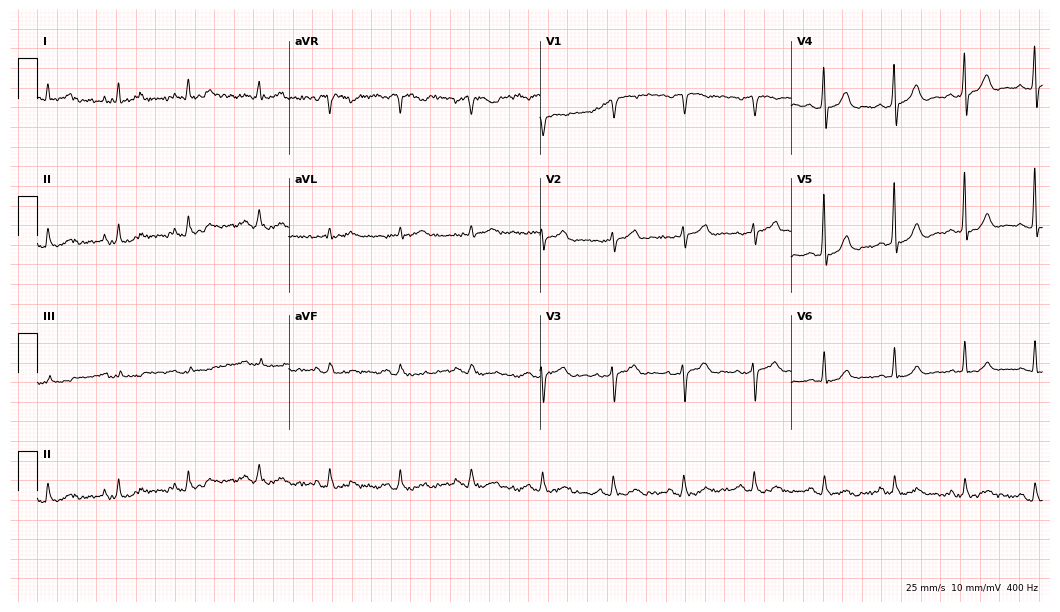
Standard 12-lead ECG recorded from a 74-year-old man. Read as a normal ECG.